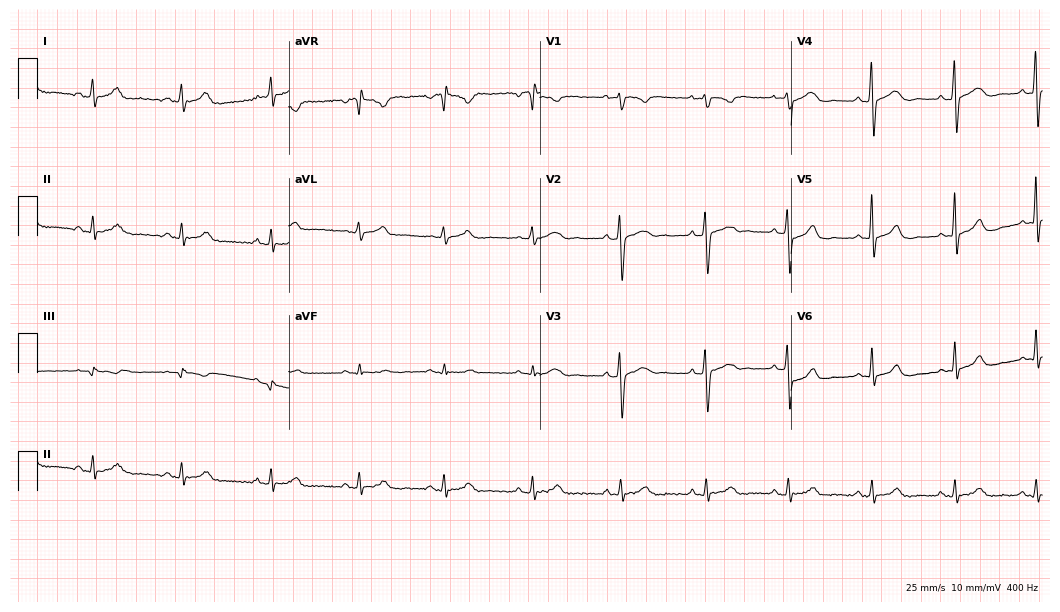
Standard 12-lead ECG recorded from a female, 31 years old (10.2-second recording at 400 Hz). Read as a normal ECG.